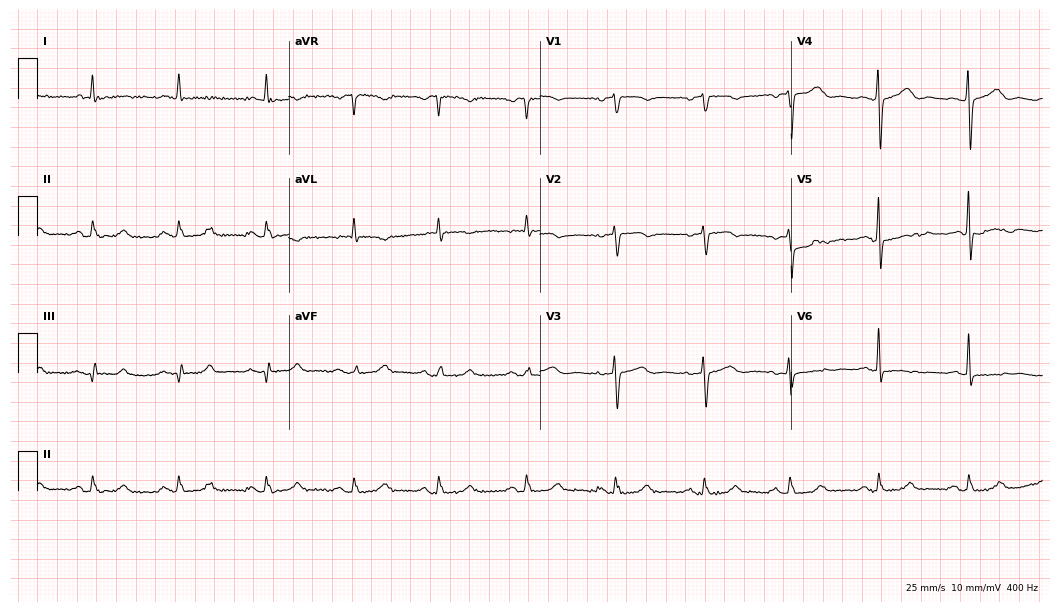
12-lead ECG from a 70-year-old female patient (10.2-second recording at 400 Hz). No first-degree AV block, right bundle branch block (RBBB), left bundle branch block (LBBB), sinus bradycardia, atrial fibrillation (AF) or sinus tachycardia recorded for this tracing.